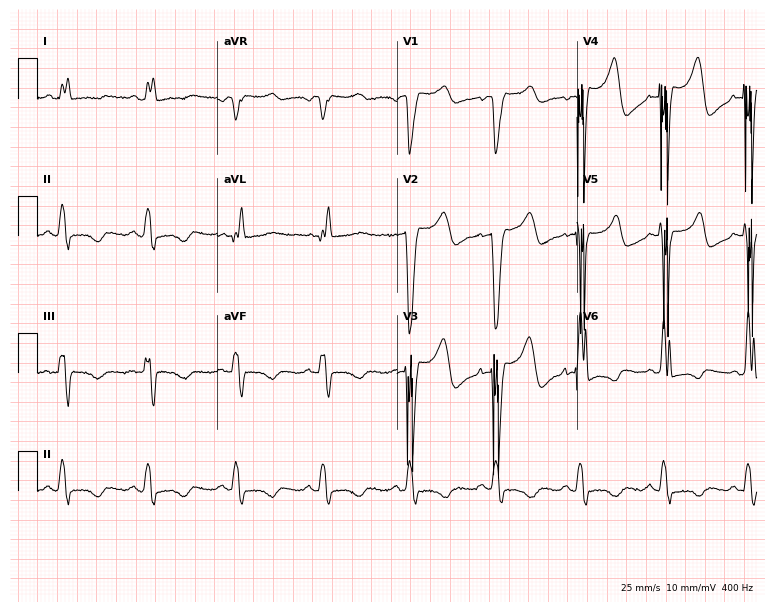
12-lead ECG from a 71-year-old female patient (7.3-second recording at 400 Hz). Shows left bundle branch block (LBBB).